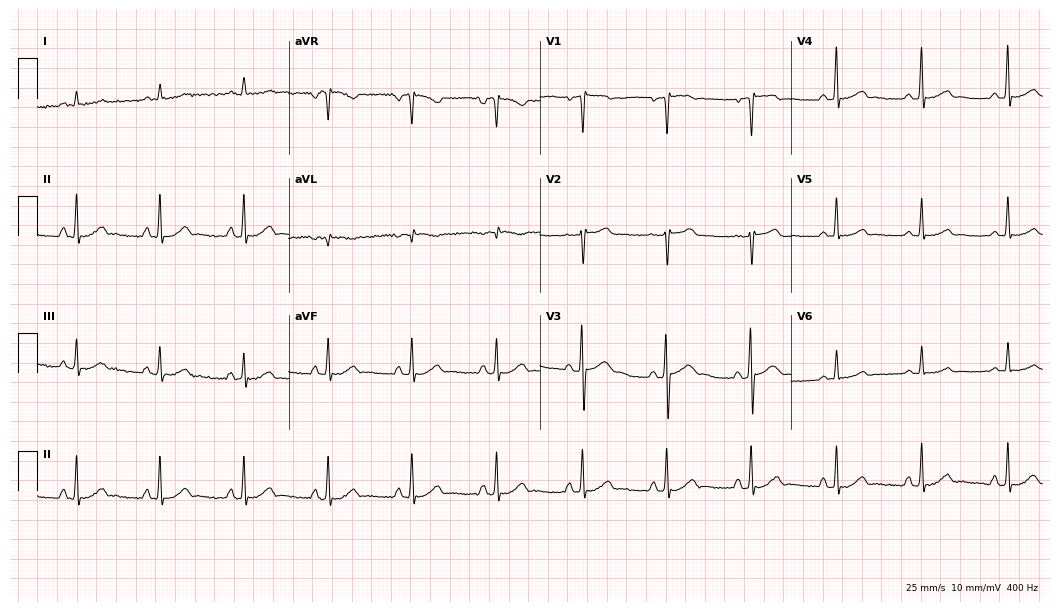
ECG — a 47-year-old male. Screened for six findings — first-degree AV block, right bundle branch block (RBBB), left bundle branch block (LBBB), sinus bradycardia, atrial fibrillation (AF), sinus tachycardia — none is recorded.